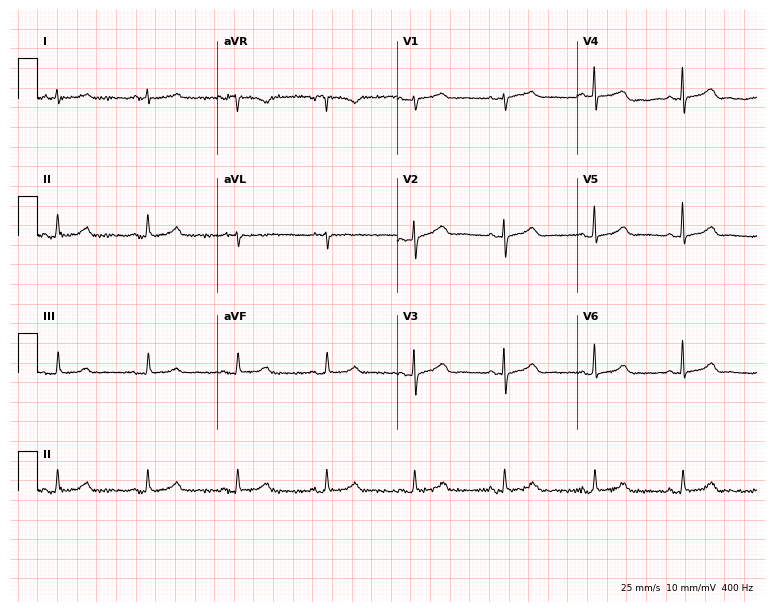
Resting 12-lead electrocardiogram (7.3-second recording at 400 Hz). Patient: a female, 70 years old. Read as a normal ECG.